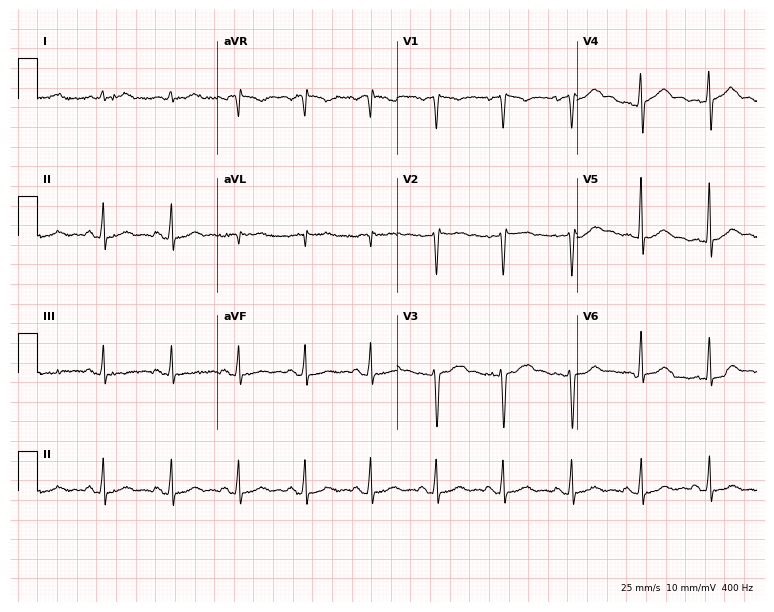
Resting 12-lead electrocardiogram (7.3-second recording at 400 Hz). Patient: a 53-year-old female. None of these six findings is recorded: first-degree AV block, right bundle branch block, left bundle branch block, sinus bradycardia, atrial fibrillation, sinus tachycardia. Other findings, if any, are not listed.